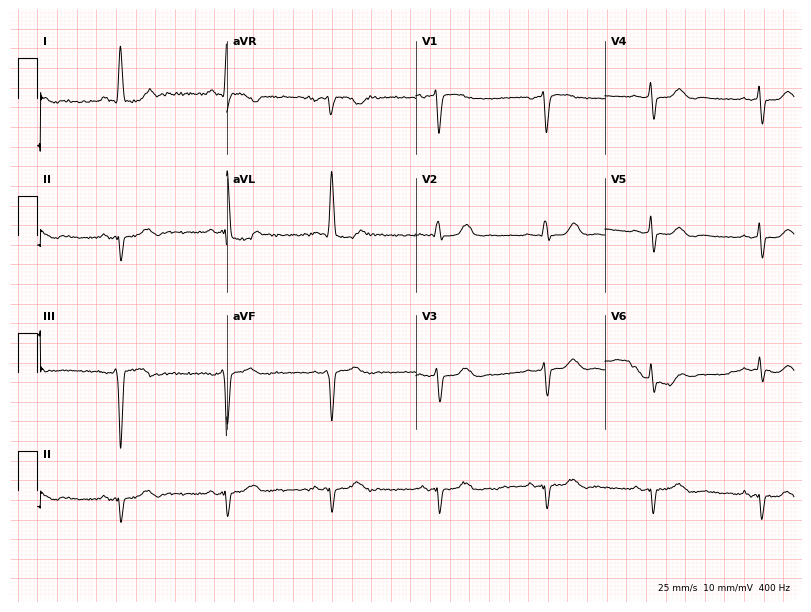
12-lead ECG (7.7-second recording at 400 Hz) from a 66-year-old female patient. Screened for six findings — first-degree AV block, right bundle branch block, left bundle branch block, sinus bradycardia, atrial fibrillation, sinus tachycardia — none is recorded.